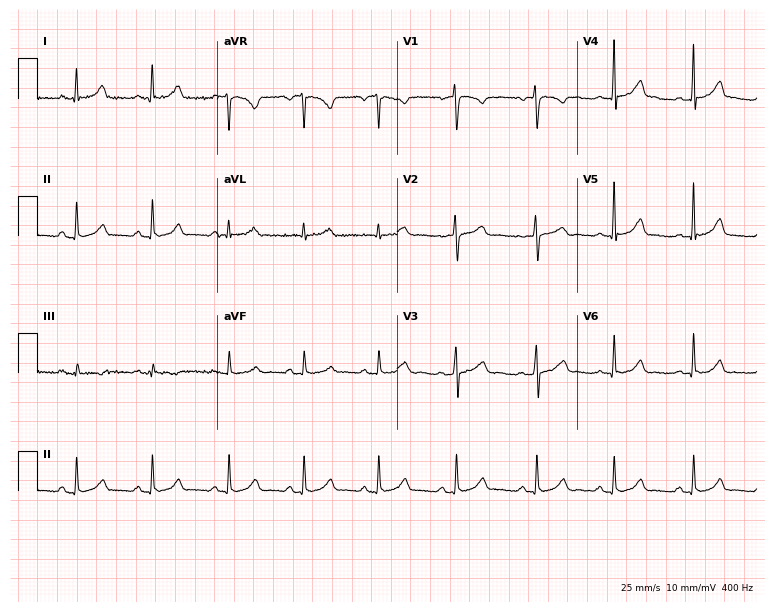
Resting 12-lead electrocardiogram (7.3-second recording at 400 Hz). Patient: a female, 27 years old. Read as a normal ECG.